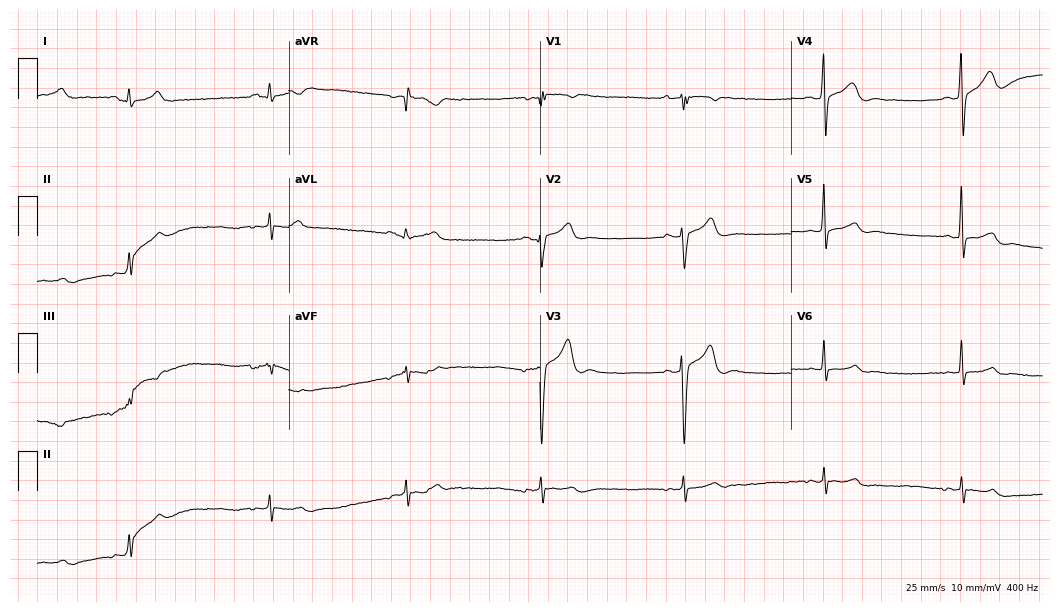
Electrocardiogram, a 39-year-old male patient. Of the six screened findings (first-degree AV block, right bundle branch block, left bundle branch block, sinus bradycardia, atrial fibrillation, sinus tachycardia), none is recorded. Only these six findings were labelled.